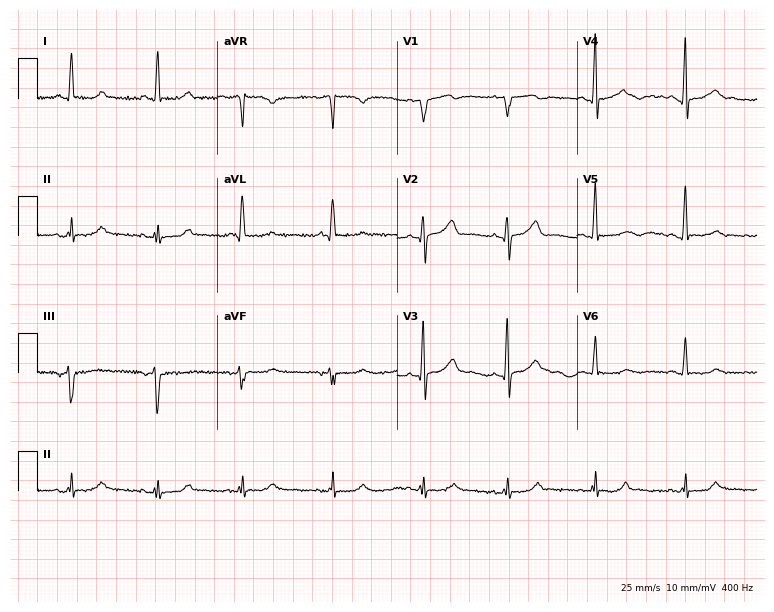
Standard 12-lead ECG recorded from a 56-year-old woman (7.3-second recording at 400 Hz). Read as a normal ECG.